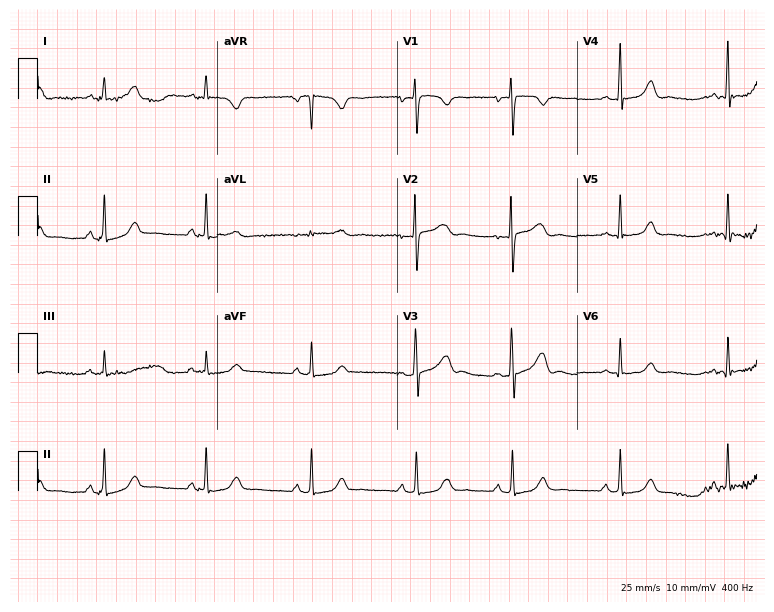
Electrocardiogram, a woman, 26 years old. Overall reading on record: normal ECG.